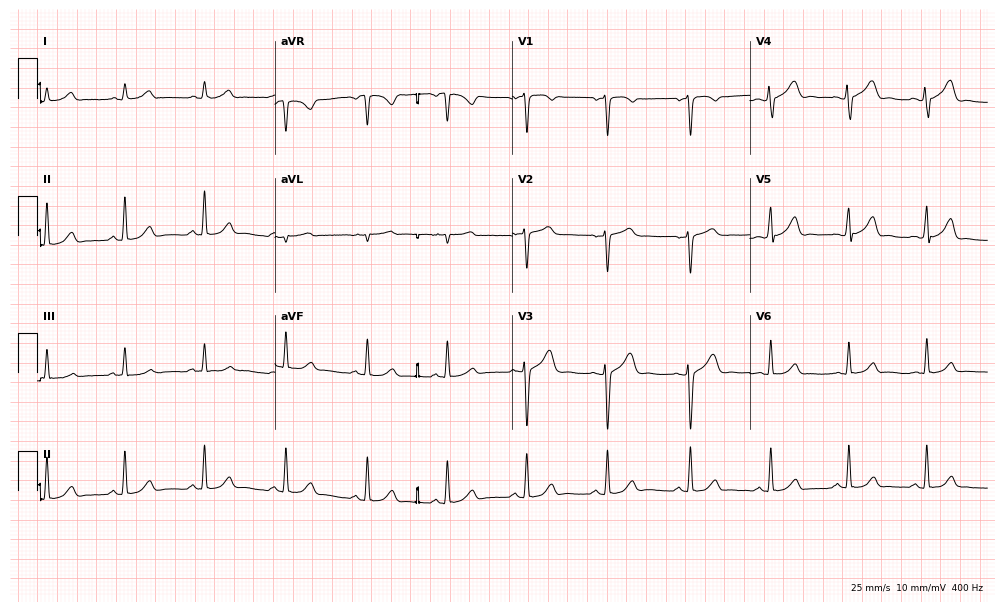
Electrocardiogram (9.7-second recording at 400 Hz), a 43-year-old female. Overall reading on record: normal ECG.